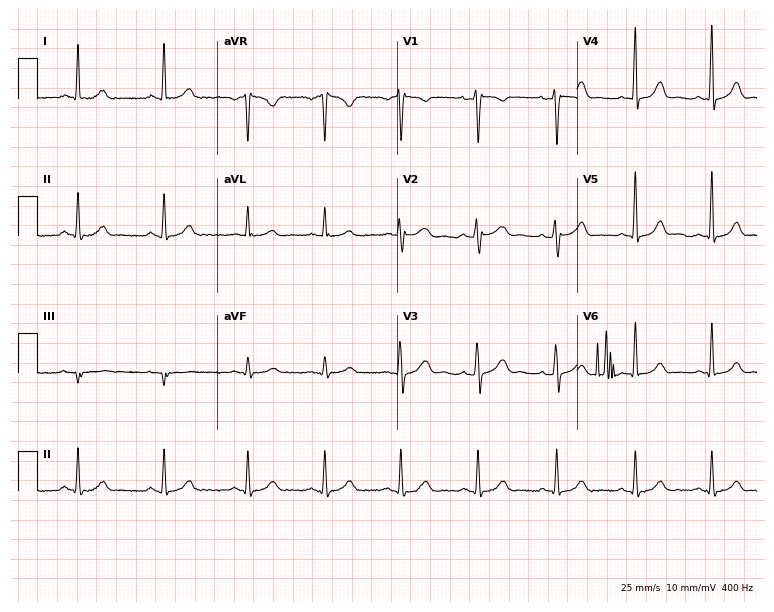
Standard 12-lead ECG recorded from a female patient, 26 years old. Read as a normal ECG.